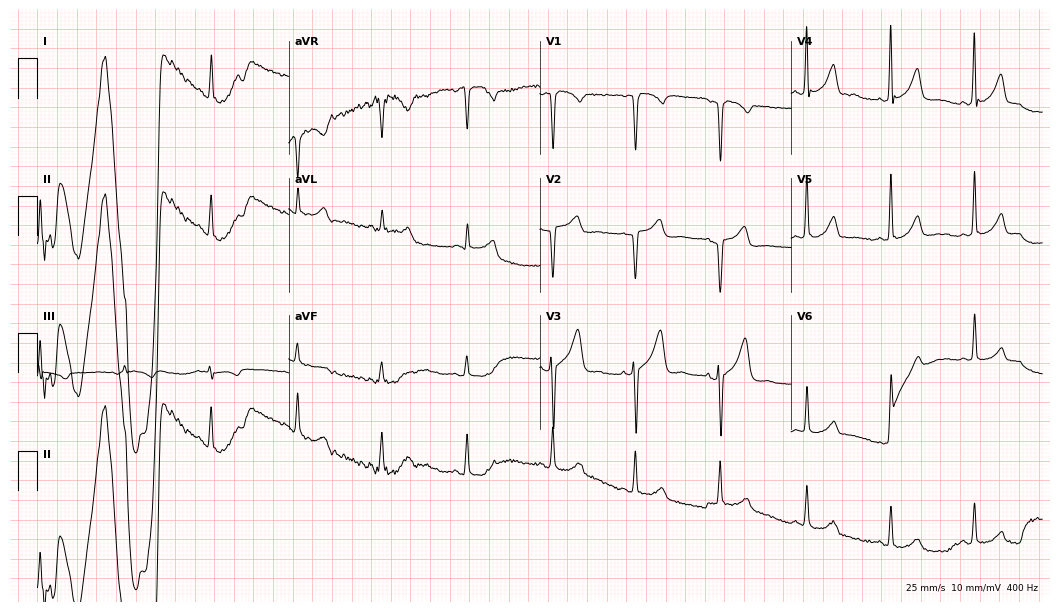
ECG (10.2-second recording at 400 Hz) — a 39-year-old male. Screened for six findings — first-degree AV block, right bundle branch block, left bundle branch block, sinus bradycardia, atrial fibrillation, sinus tachycardia — none is recorded.